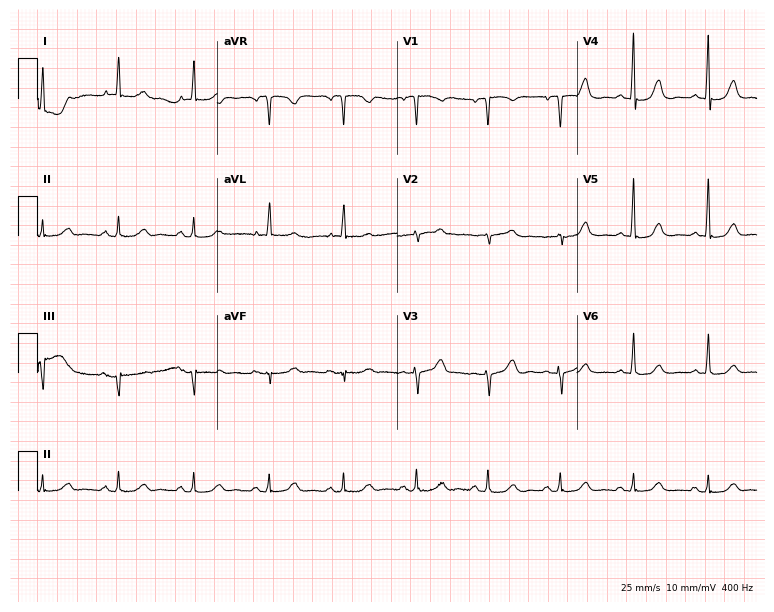
Standard 12-lead ECG recorded from an 80-year-old female patient (7.3-second recording at 400 Hz). None of these six findings is recorded: first-degree AV block, right bundle branch block, left bundle branch block, sinus bradycardia, atrial fibrillation, sinus tachycardia.